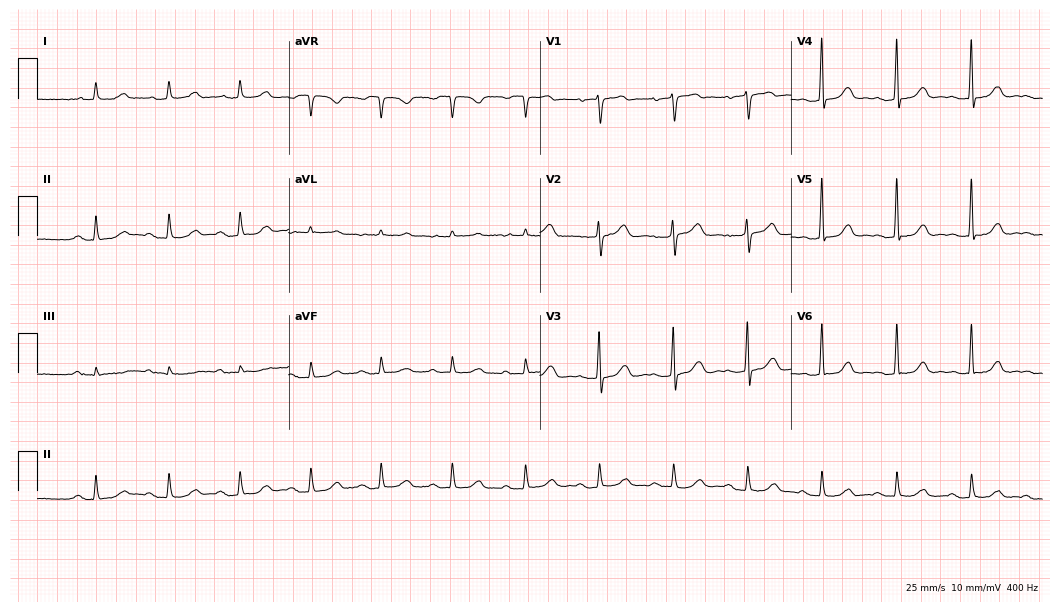
Resting 12-lead electrocardiogram (10.2-second recording at 400 Hz). Patient: a male, 81 years old. The tracing shows first-degree AV block.